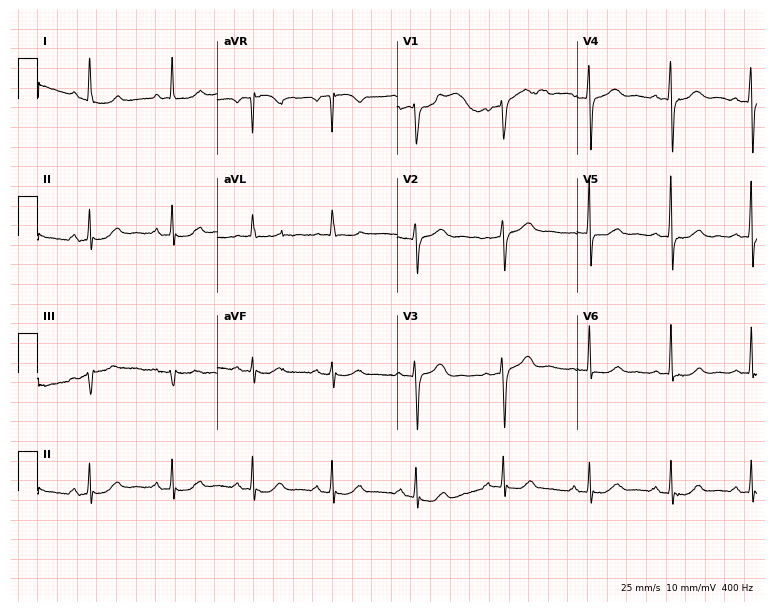
12-lead ECG from a female patient, 59 years old. Labelled as a normal ECG.